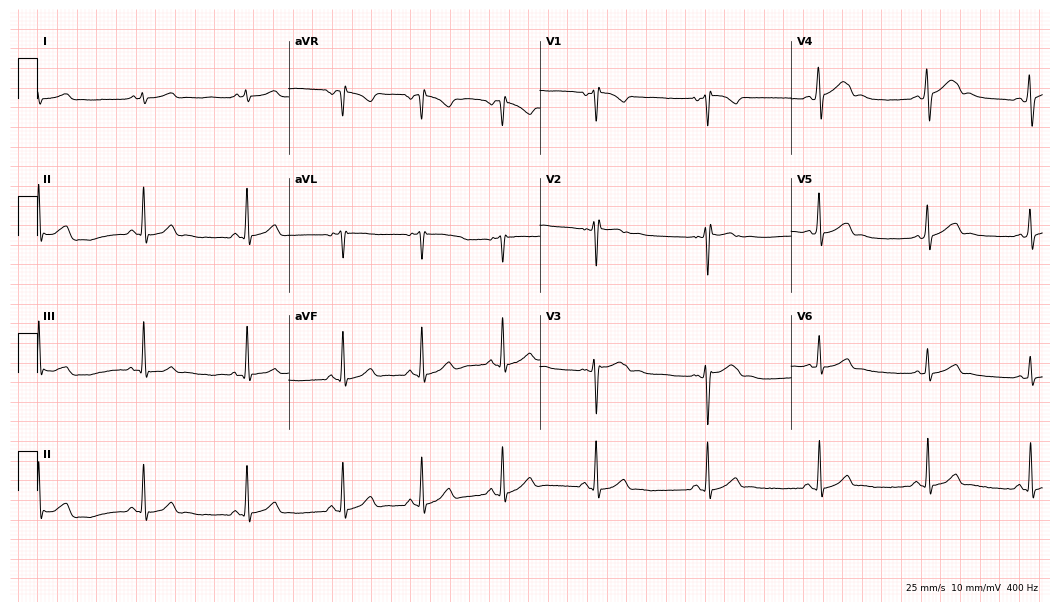
Standard 12-lead ECG recorded from a 27-year-old male patient (10.2-second recording at 400 Hz). None of these six findings is recorded: first-degree AV block, right bundle branch block, left bundle branch block, sinus bradycardia, atrial fibrillation, sinus tachycardia.